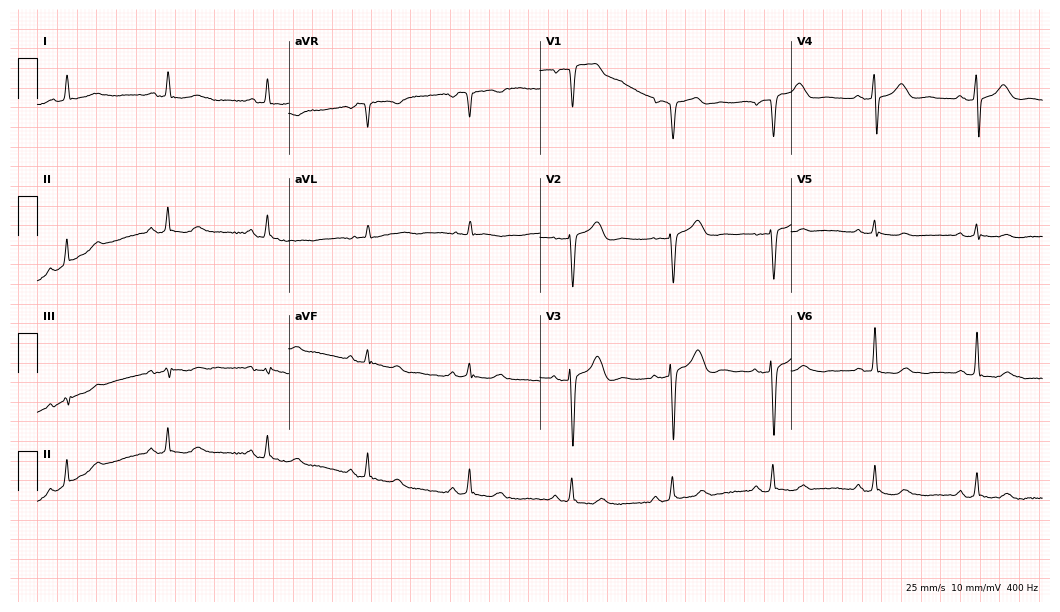
Electrocardiogram, an 84-year-old male. Overall reading on record: normal ECG.